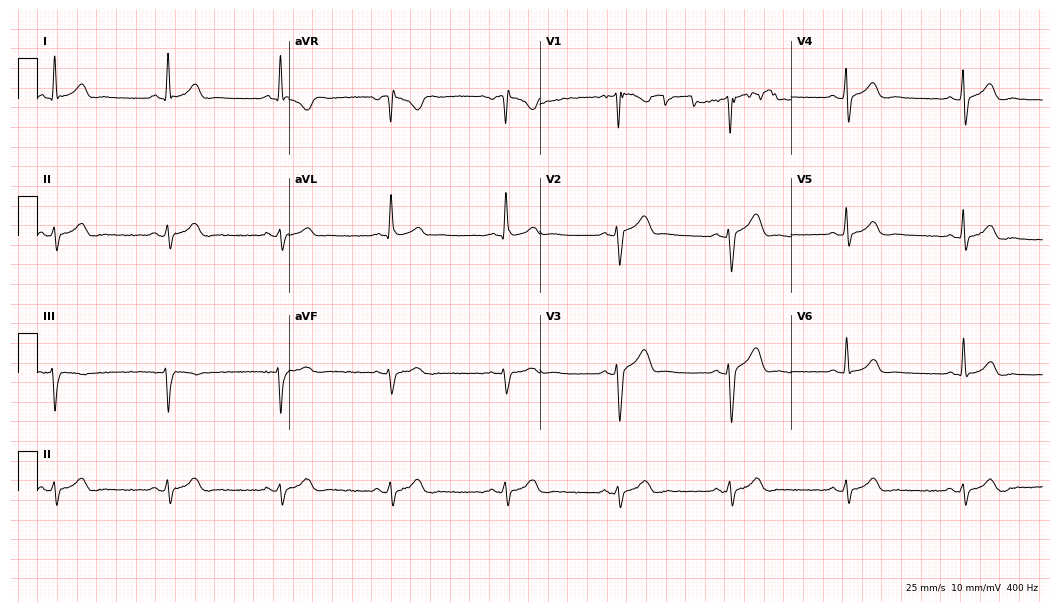
12-lead ECG from a 44-year-old male (10.2-second recording at 400 Hz). No first-degree AV block, right bundle branch block, left bundle branch block, sinus bradycardia, atrial fibrillation or sinus tachycardia recorded for this tracing.